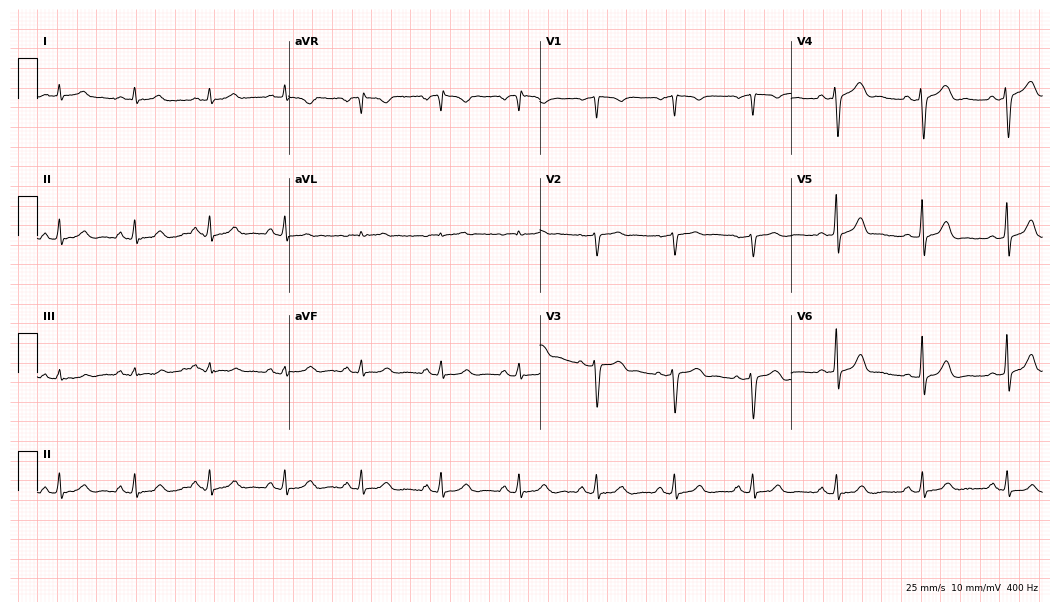
Resting 12-lead electrocardiogram. Patient: a male, 69 years old. None of these six findings is recorded: first-degree AV block, right bundle branch block, left bundle branch block, sinus bradycardia, atrial fibrillation, sinus tachycardia. Findings outside these six are not listed.